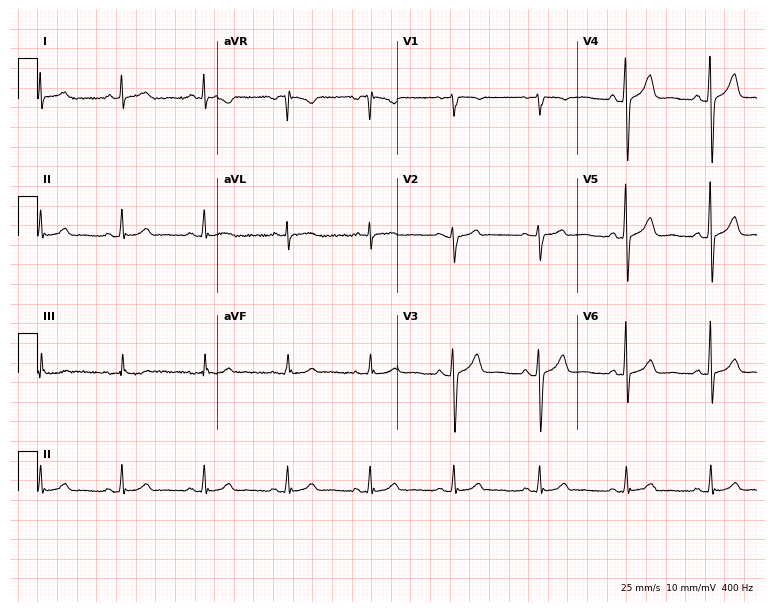
Standard 12-lead ECG recorded from a man, 44 years old (7.3-second recording at 400 Hz). Read as a normal ECG.